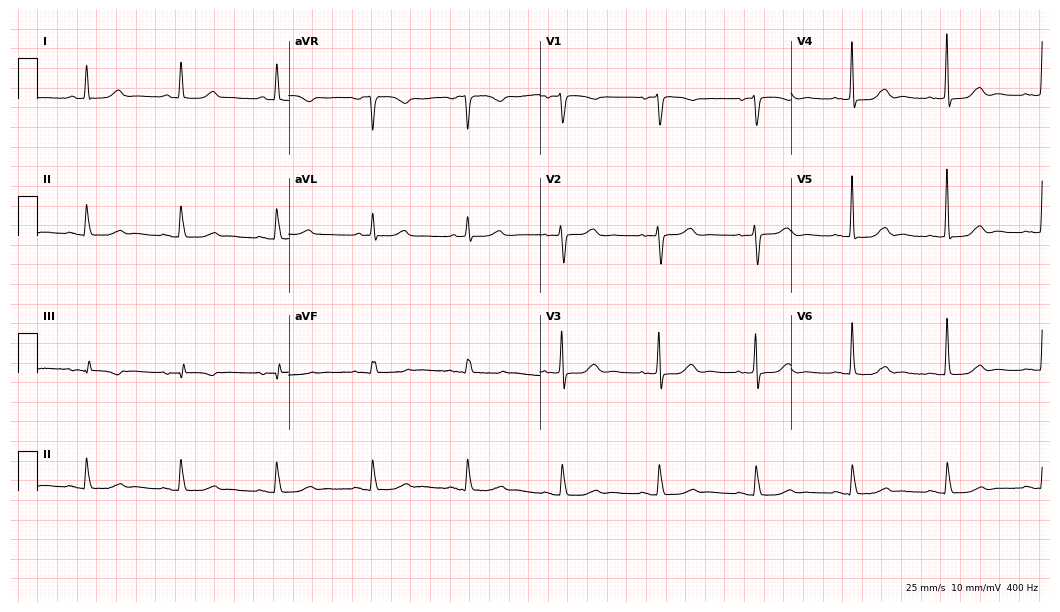
Electrocardiogram, an 83-year-old female. Overall reading on record: normal ECG.